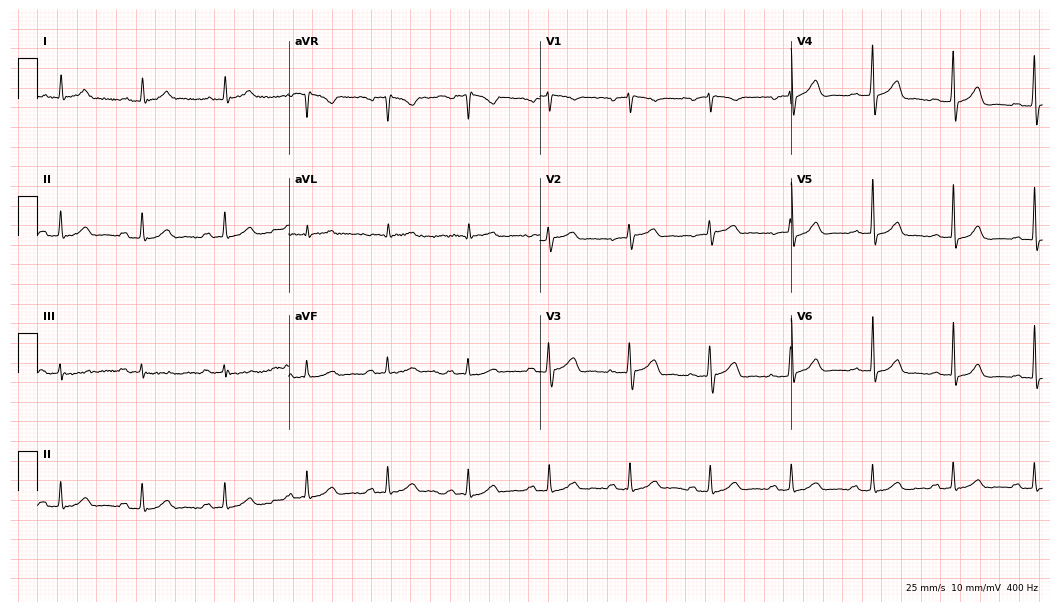
Resting 12-lead electrocardiogram (10.2-second recording at 400 Hz). Patient: a 75-year-old male. The tracing shows first-degree AV block.